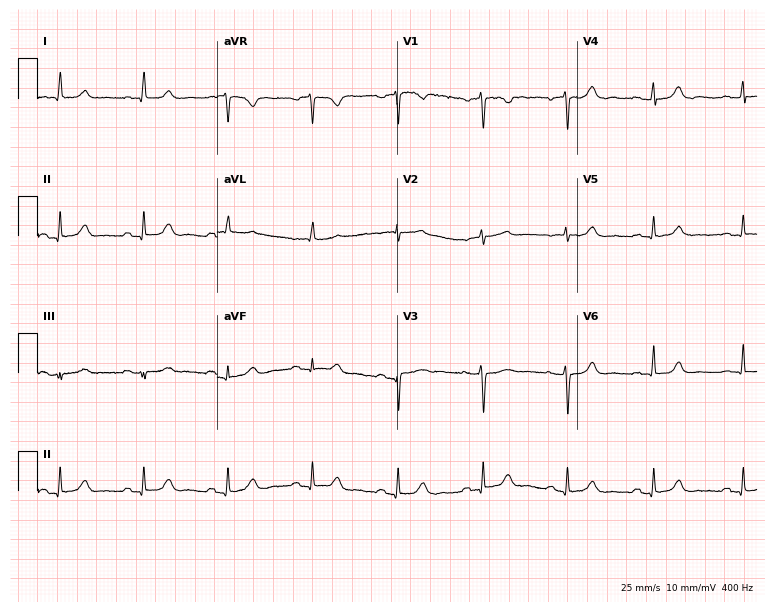
12-lead ECG from a 64-year-old female patient (7.3-second recording at 400 Hz). Recorded interpretation: within normal limits.